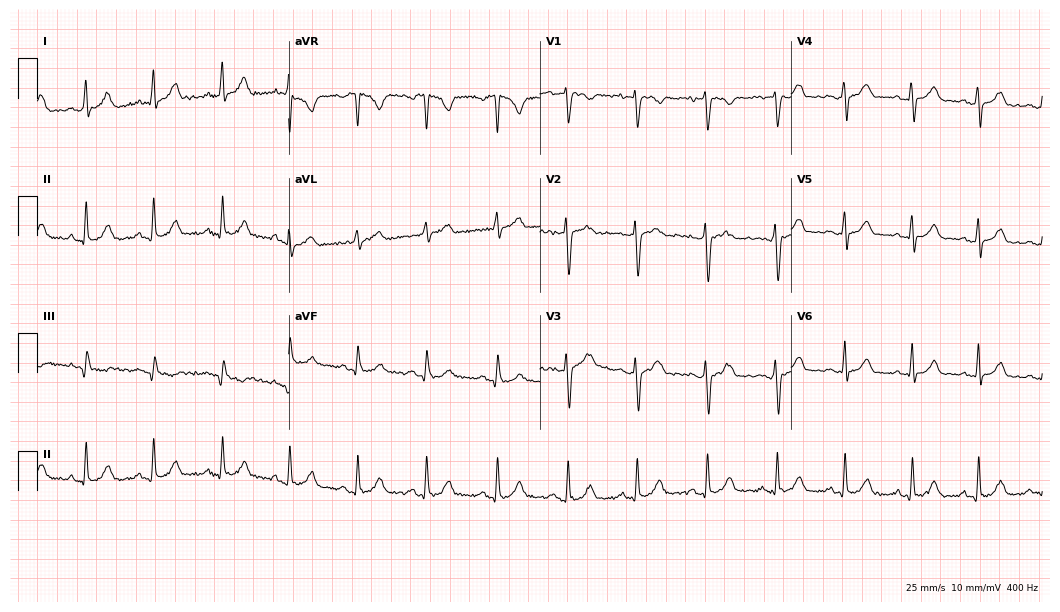
Resting 12-lead electrocardiogram. Patient: a 28-year-old female. Read as a normal ECG.